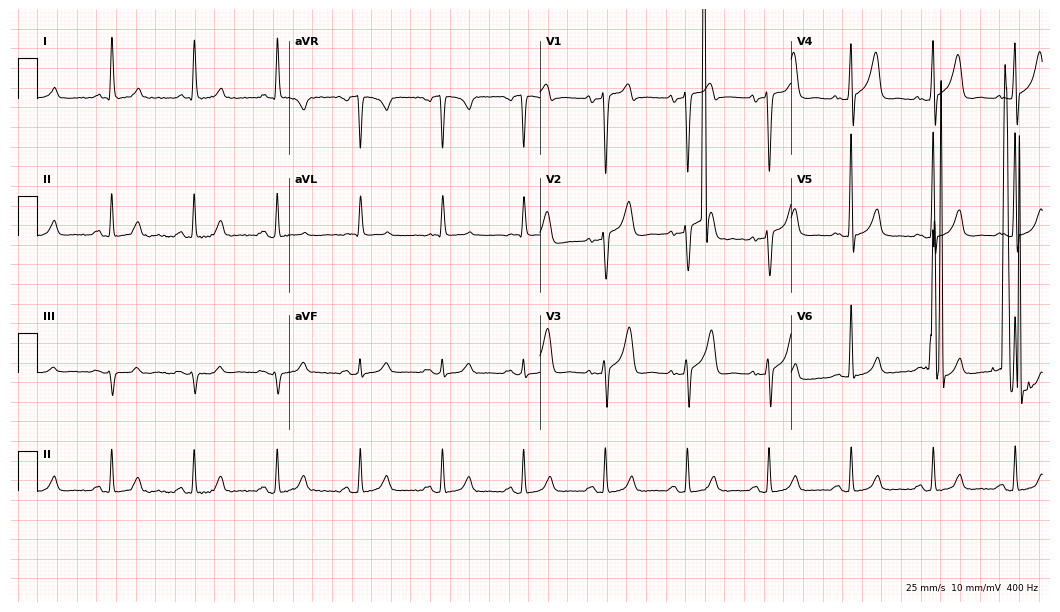
12-lead ECG (10.2-second recording at 400 Hz) from a male, 78 years old. Screened for six findings — first-degree AV block, right bundle branch block, left bundle branch block, sinus bradycardia, atrial fibrillation, sinus tachycardia — none is recorded. Only these six findings were labelled.